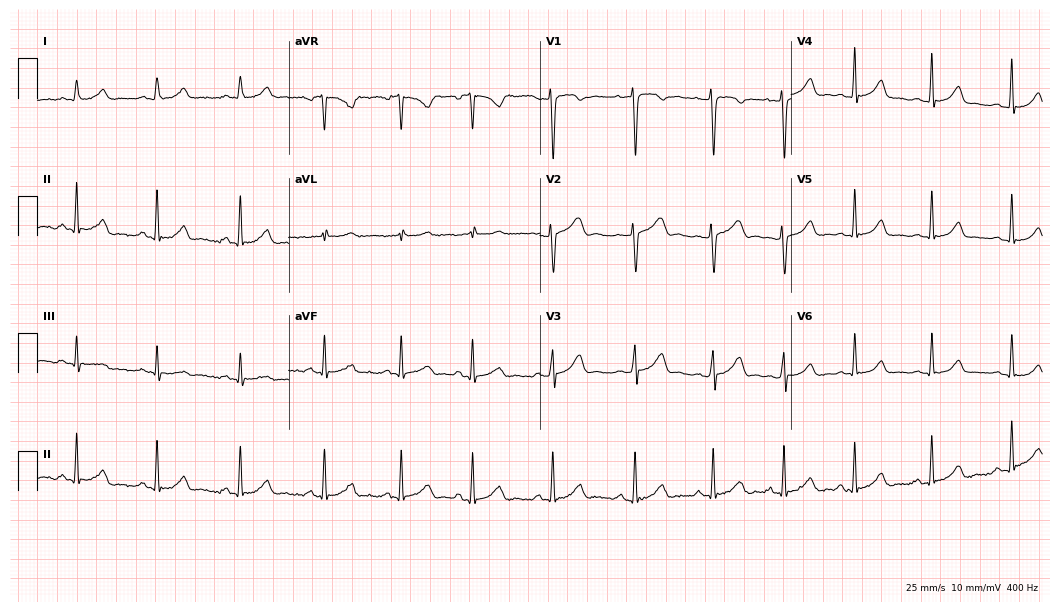
12-lead ECG (10.2-second recording at 400 Hz) from a 19-year-old woman. Labelled as a normal ECG.